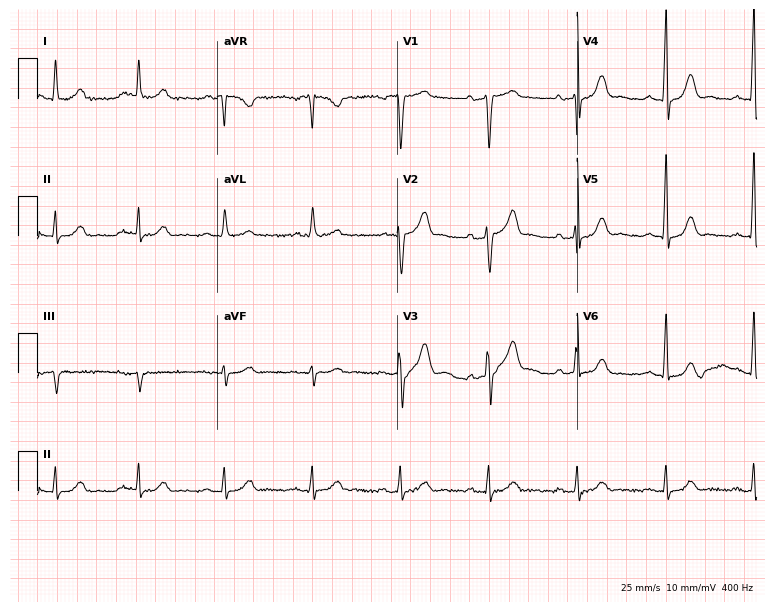
Electrocardiogram, a man, 62 years old. Overall reading on record: normal ECG.